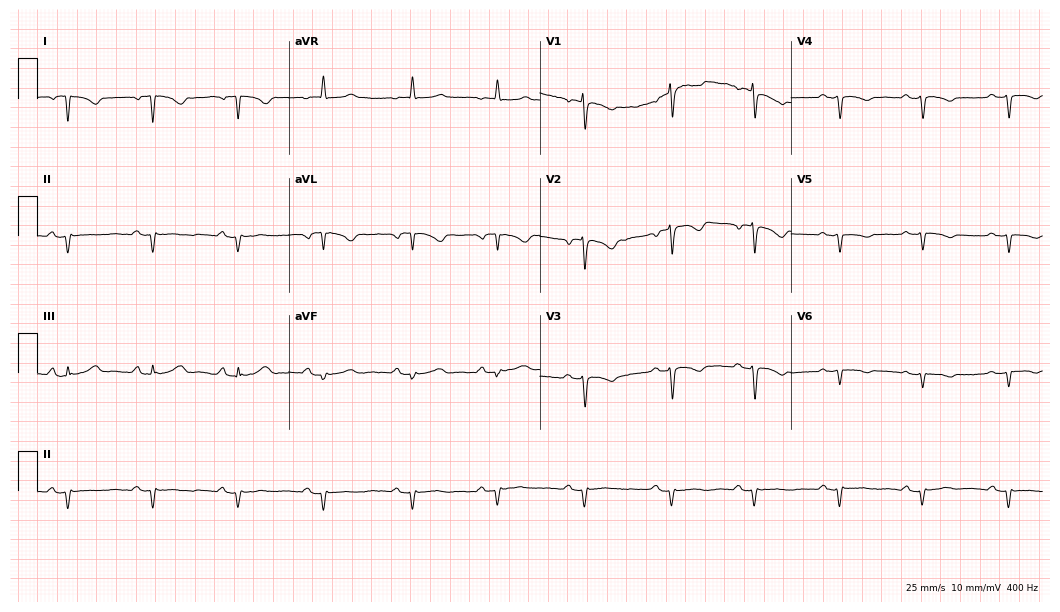
Standard 12-lead ECG recorded from a female, 35 years old. None of these six findings is recorded: first-degree AV block, right bundle branch block (RBBB), left bundle branch block (LBBB), sinus bradycardia, atrial fibrillation (AF), sinus tachycardia. Findings outside these six are not listed.